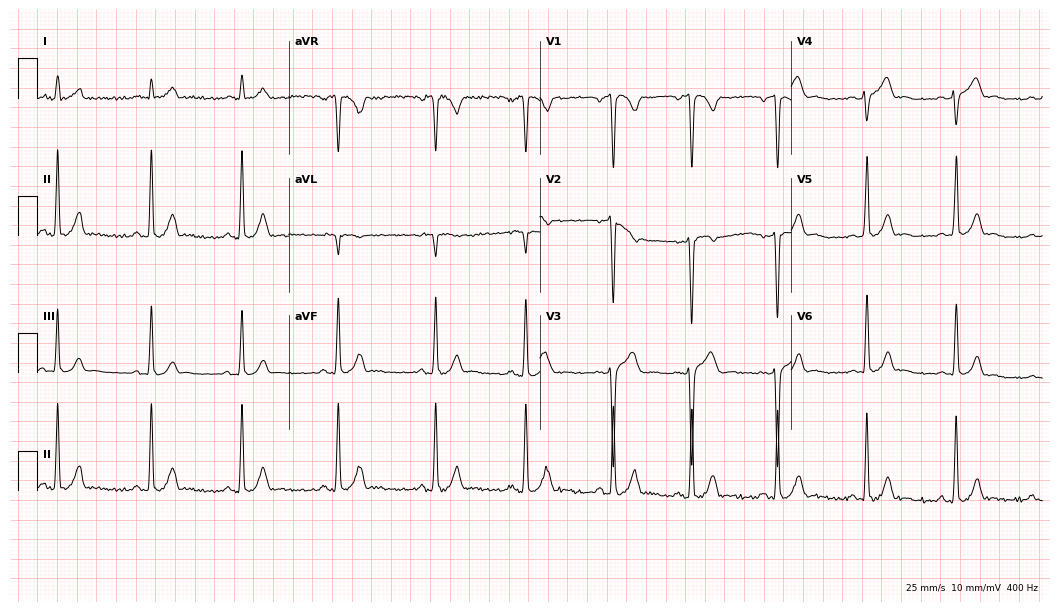
Electrocardiogram, a 24-year-old male. Overall reading on record: normal ECG.